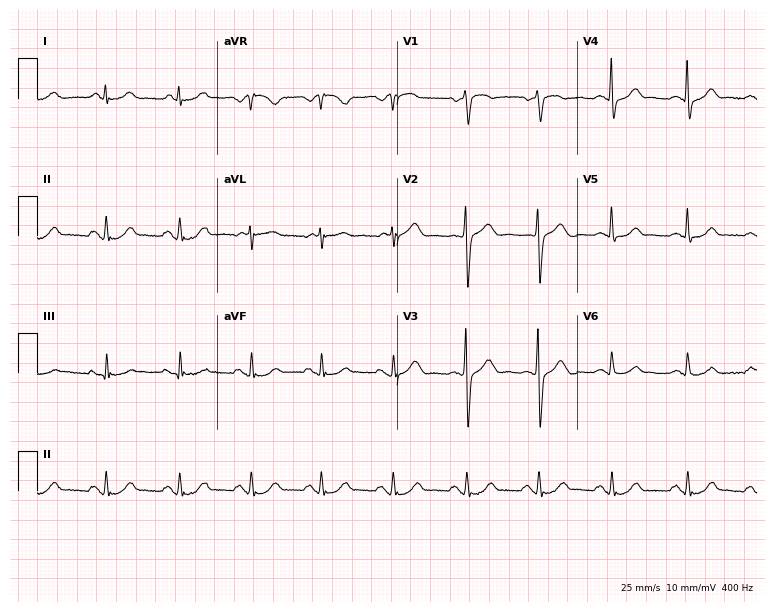
Resting 12-lead electrocardiogram. Patient: a 58-year-old woman. Read as a normal ECG.